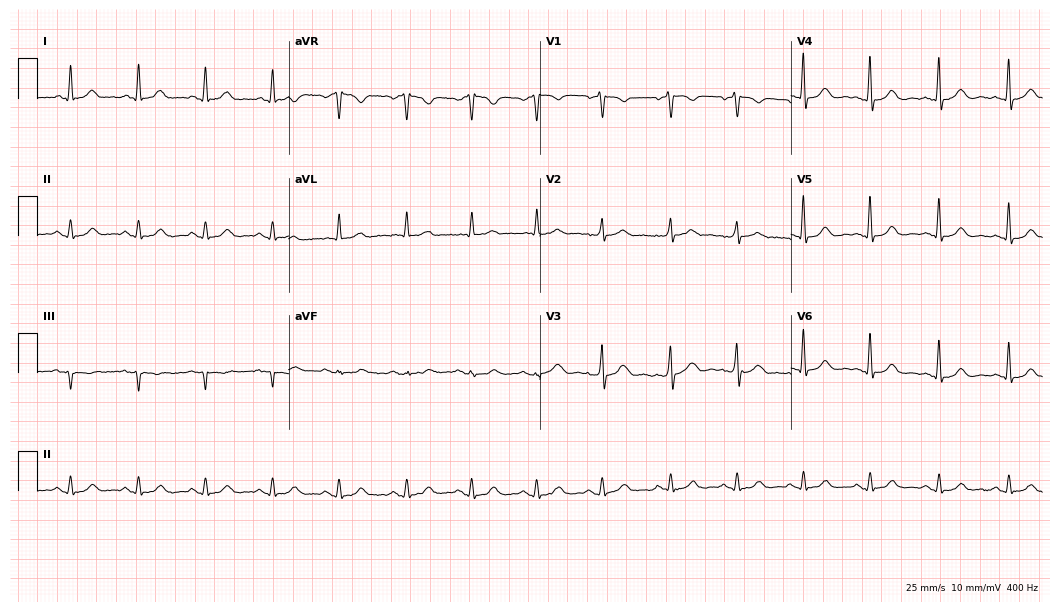
Standard 12-lead ECG recorded from a 26-year-old man. Read as a normal ECG.